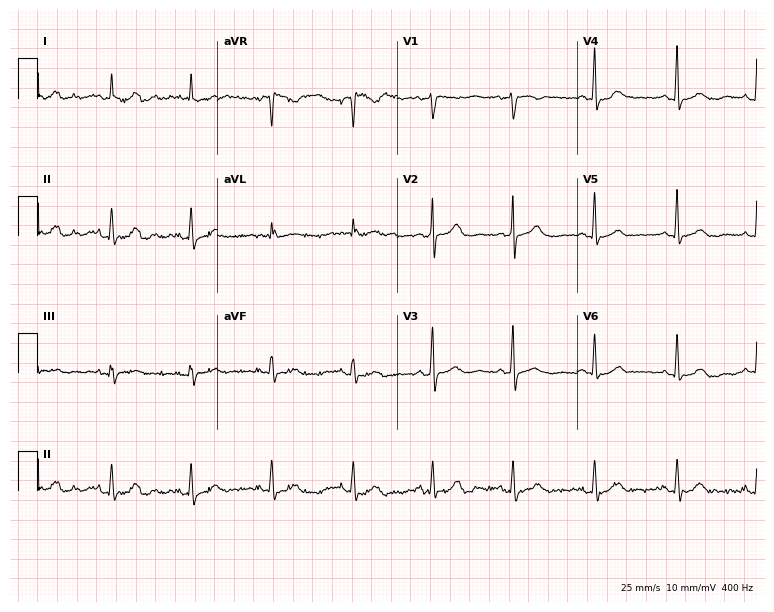
ECG (7.3-second recording at 400 Hz) — a 63-year-old female. Labelled as a normal ECG.